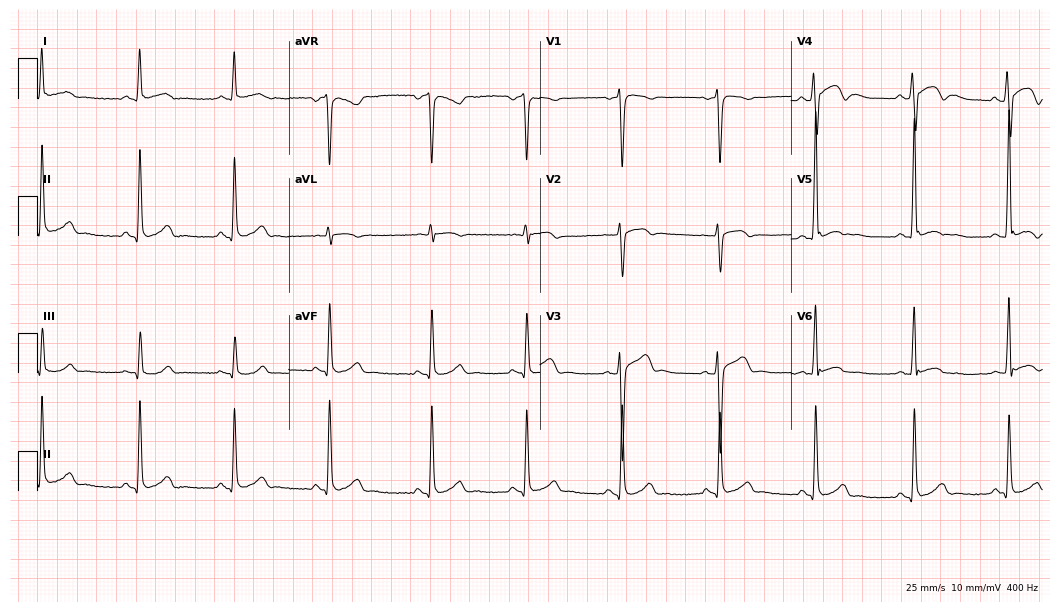
Resting 12-lead electrocardiogram (10.2-second recording at 400 Hz). Patient: a 40-year-old man. None of these six findings is recorded: first-degree AV block, right bundle branch block (RBBB), left bundle branch block (LBBB), sinus bradycardia, atrial fibrillation (AF), sinus tachycardia. Other findings, if any, are not listed.